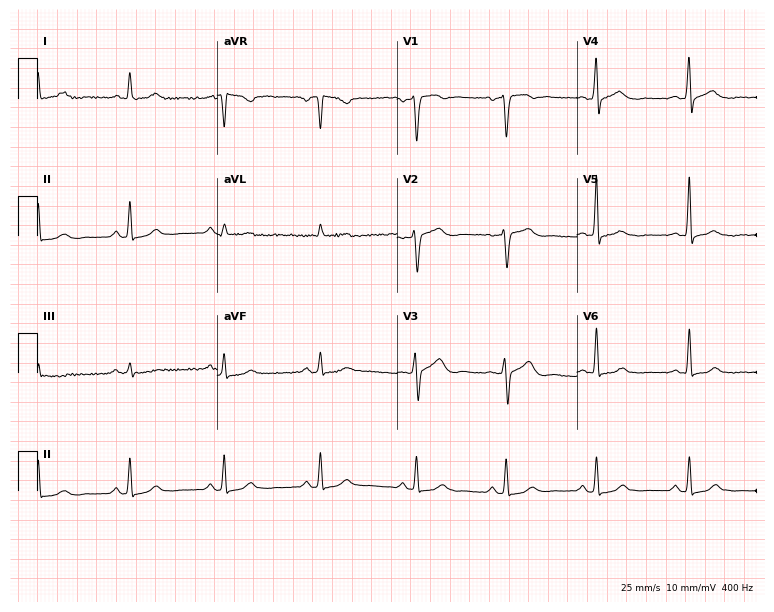
ECG — a 45-year-old female. Screened for six findings — first-degree AV block, right bundle branch block, left bundle branch block, sinus bradycardia, atrial fibrillation, sinus tachycardia — none is recorded. Only these six findings were labelled.